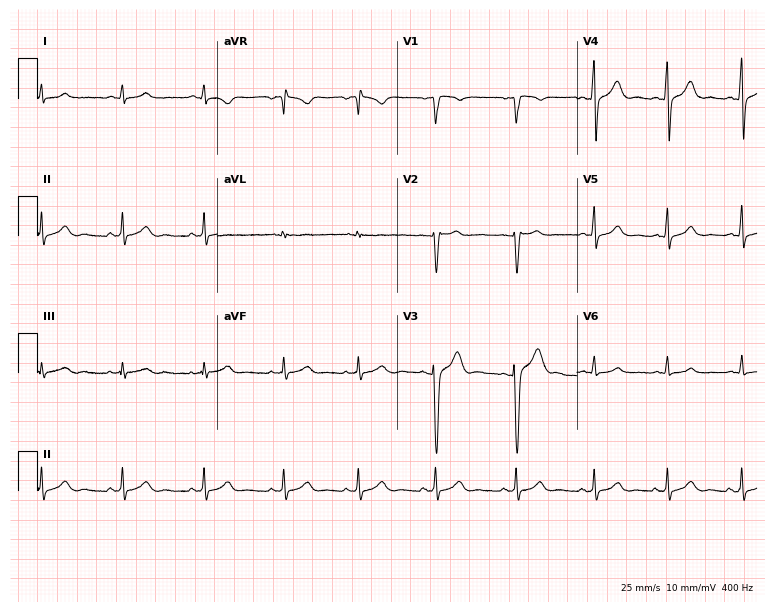
ECG (7.3-second recording at 400 Hz) — a male, 18 years old. Screened for six findings — first-degree AV block, right bundle branch block, left bundle branch block, sinus bradycardia, atrial fibrillation, sinus tachycardia — none is recorded.